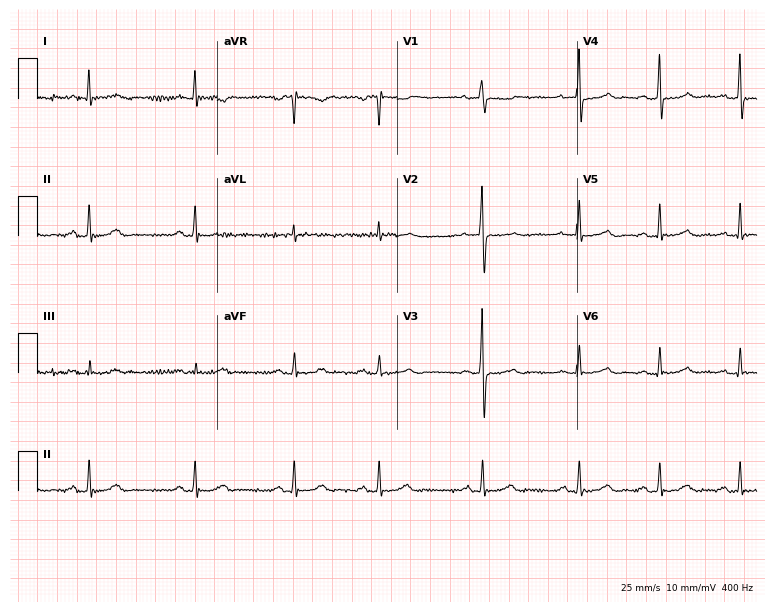
12-lead ECG from a woman, 75 years old. No first-degree AV block, right bundle branch block, left bundle branch block, sinus bradycardia, atrial fibrillation or sinus tachycardia recorded for this tracing.